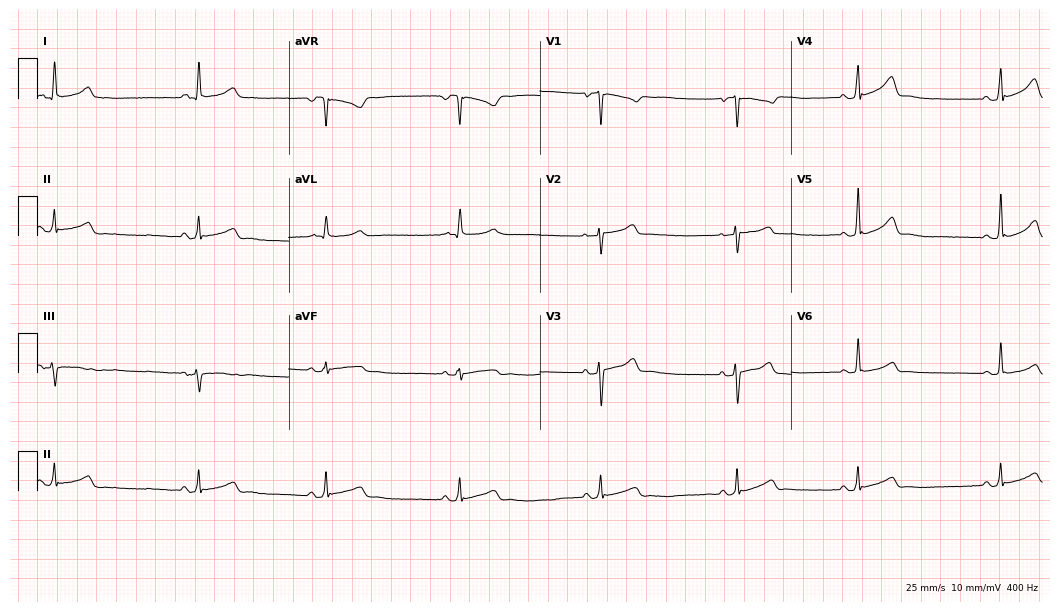
12-lead ECG from a woman, 39 years old. Screened for six findings — first-degree AV block, right bundle branch block (RBBB), left bundle branch block (LBBB), sinus bradycardia, atrial fibrillation (AF), sinus tachycardia — none is recorded. Other findings, if any, are not listed.